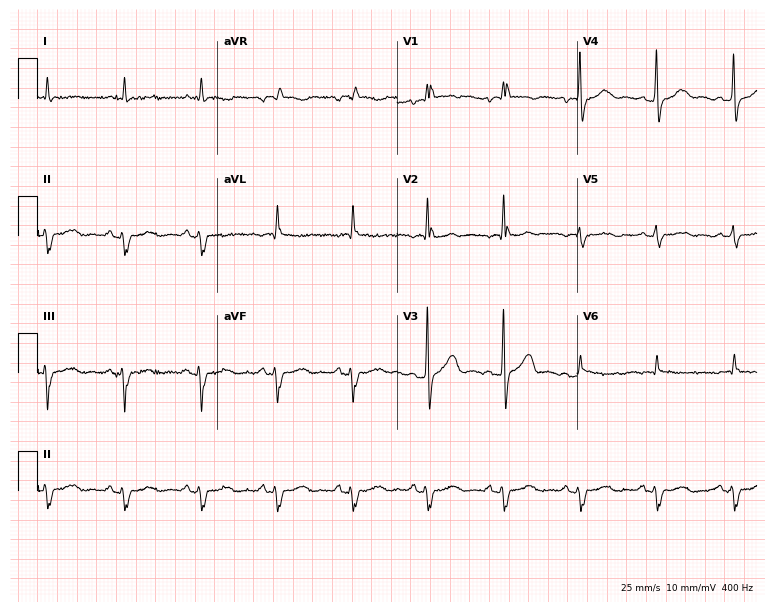
Standard 12-lead ECG recorded from a 66-year-old man. None of these six findings is recorded: first-degree AV block, right bundle branch block, left bundle branch block, sinus bradycardia, atrial fibrillation, sinus tachycardia. Only these six findings were labelled.